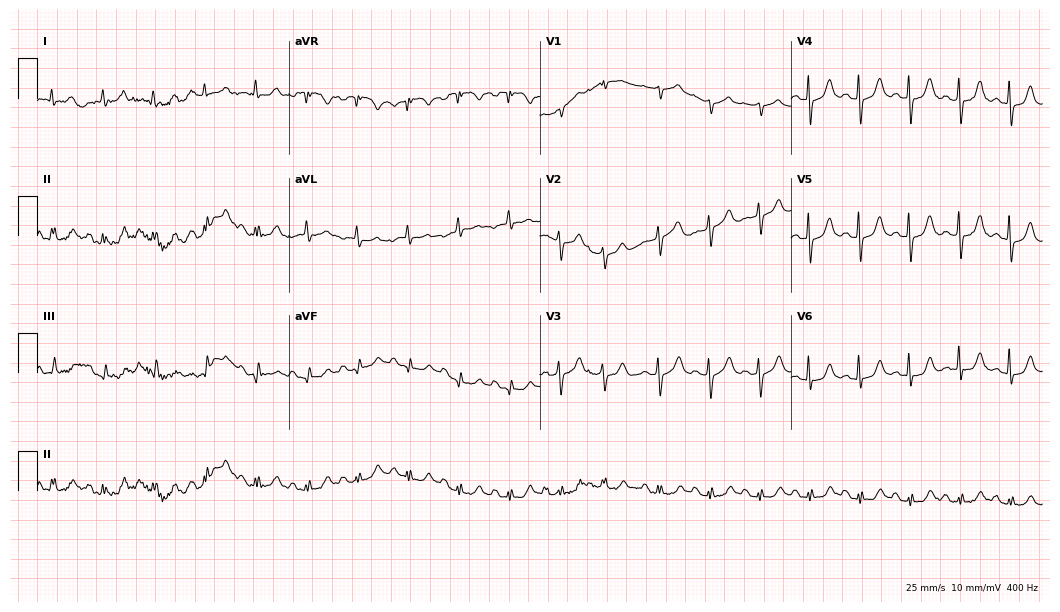
12-lead ECG from a woman, 85 years old. Shows sinus tachycardia (a sinus rate of 100 beats per minute or more).